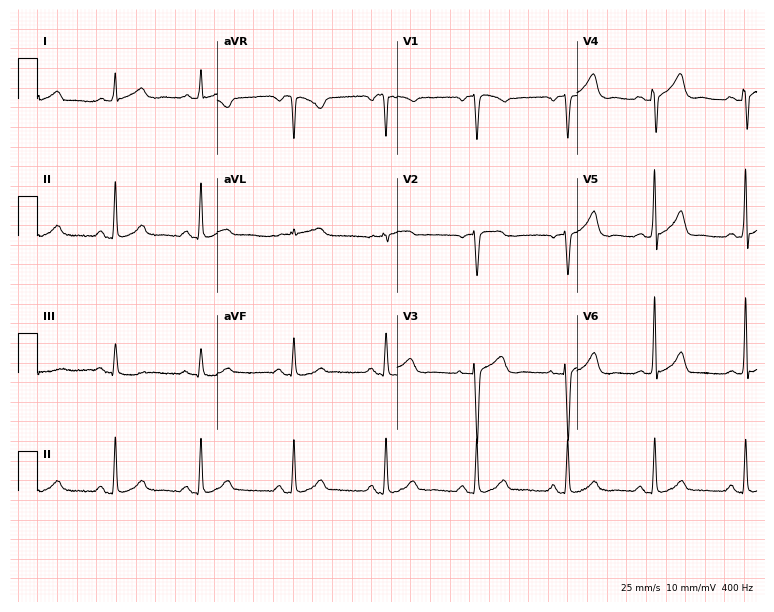
Electrocardiogram (7.3-second recording at 400 Hz), a 58-year-old female patient. Of the six screened findings (first-degree AV block, right bundle branch block, left bundle branch block, sinus bradycardia, atrial fibrillation, sinus tachycardia), none is recorded.